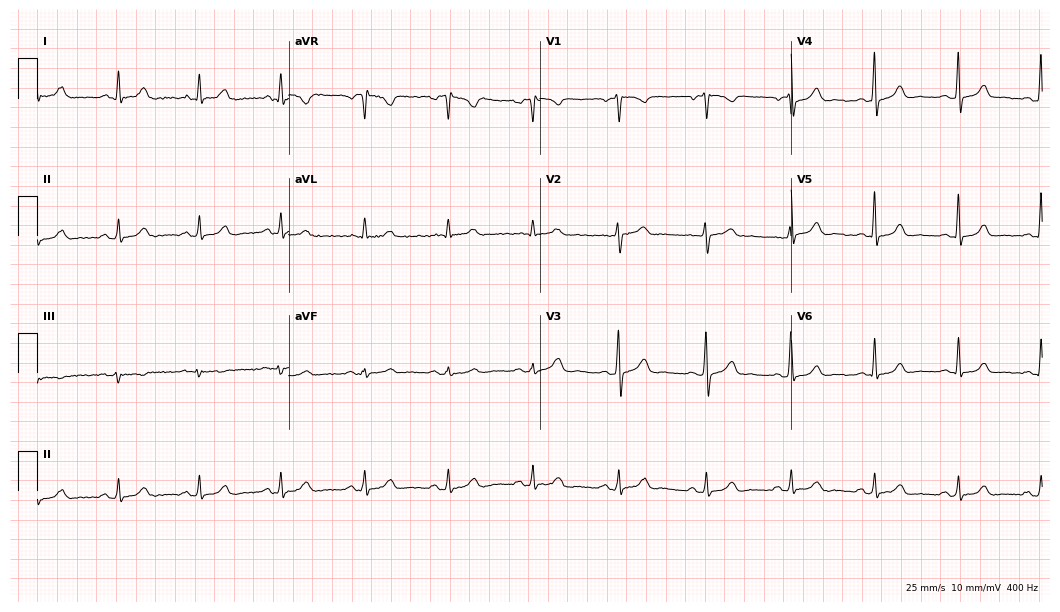
Electrocardiogram (10.2-second recording at 400 Hz), a man, 39 years old. Overall reading on record: normal ECG.